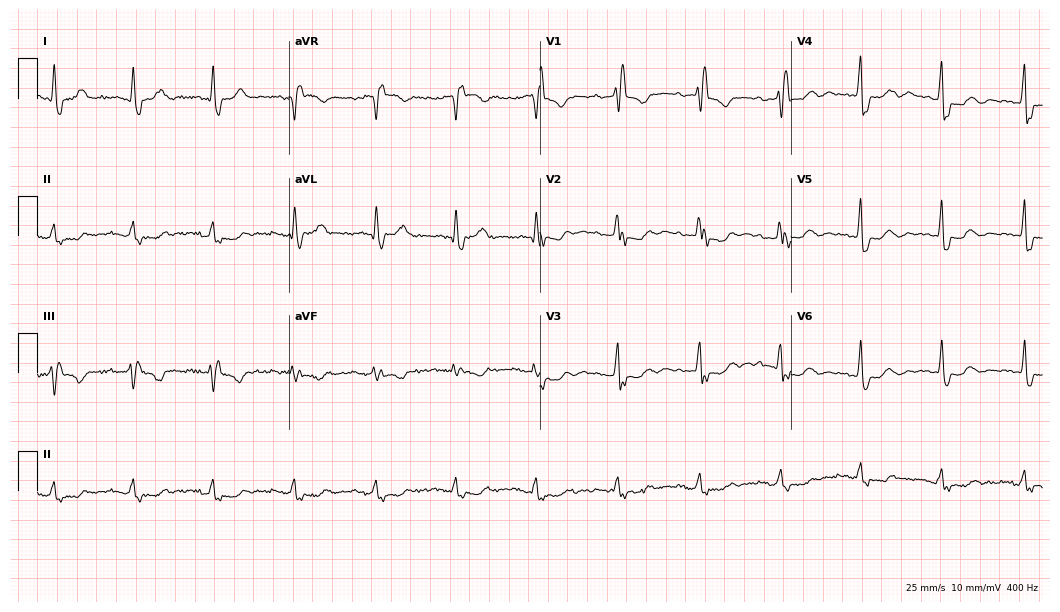
ECG — an 81-year-old female patient. Findings include right bundle branch block (RBBB).